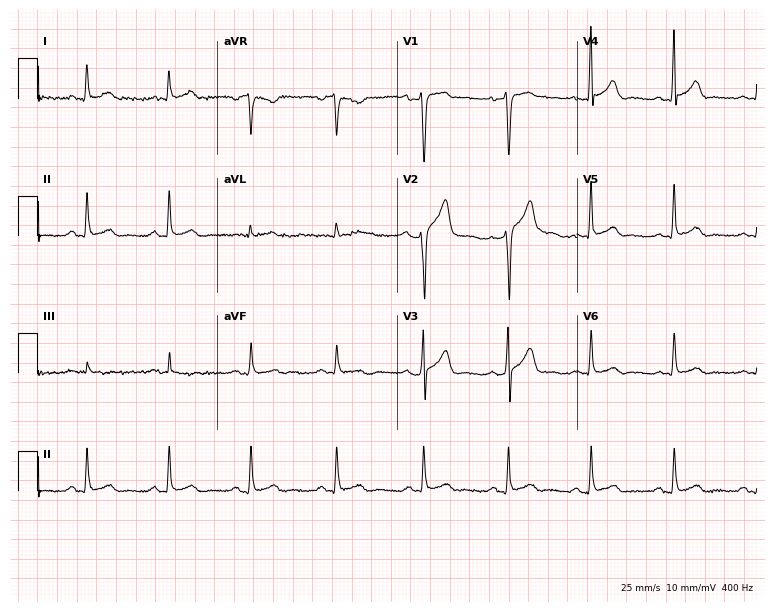
Electrocardiogram, a 45-year-old male patient. Overall reading on record: normal ECG.